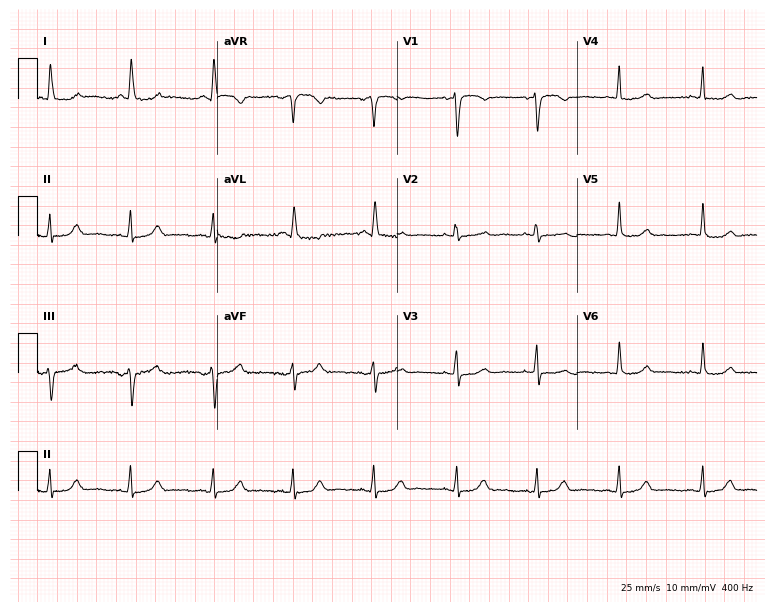
Electrocardiogram, a 64-year-old female. Overall reading on record: normal ECG.